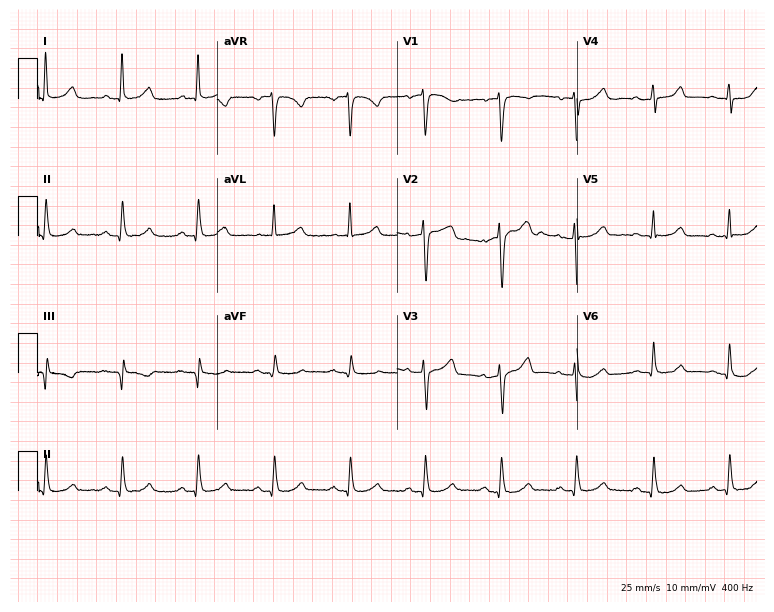
Electrocardiogram, a woman, 51 years old. Overall reading on record: normal ECG.